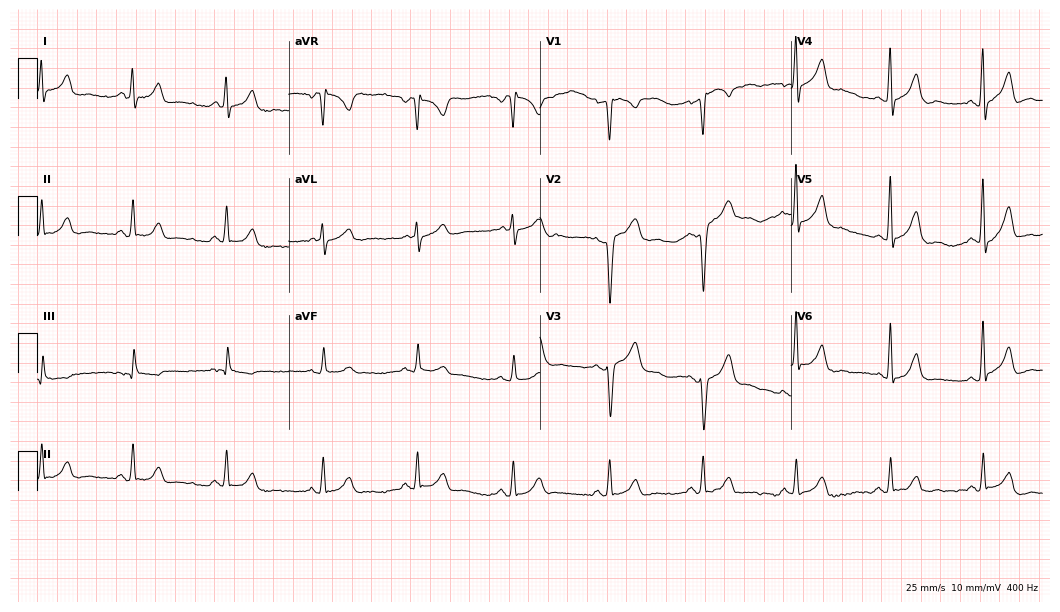
Resting 12-lead electrocardiogram. Patient: a man, 43 years old. None of these six findings is recorded: first-degree AV block, right bundle branch block, left bundle branch block, sinus bradycardia, atrial fibrillation, sinus tachycardia. Other findings, if any, are not listed.